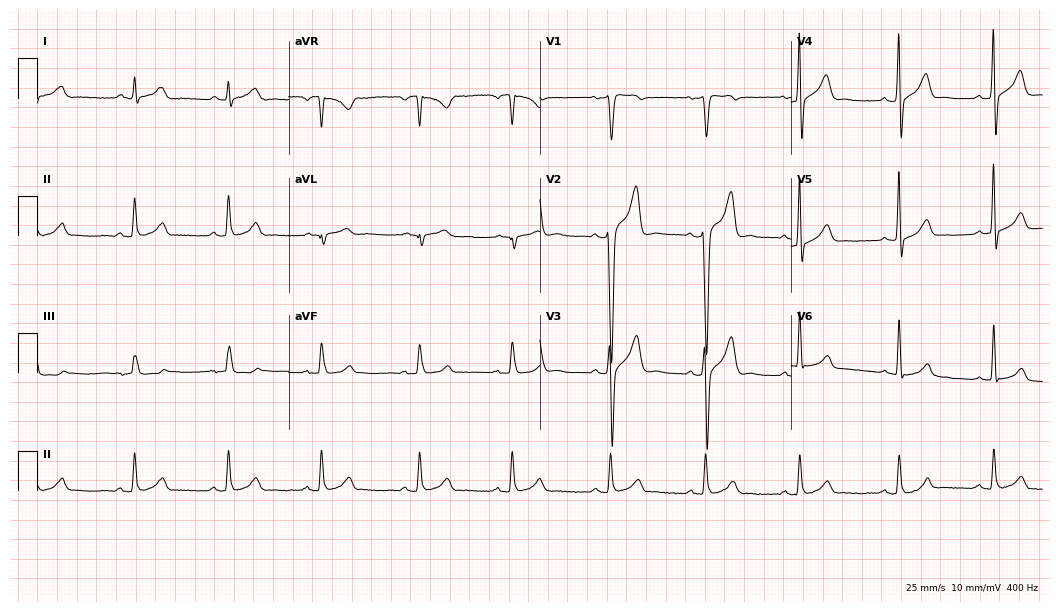
Resting 12-lead electrocardiogram. Patient: a male, 55 years old. Read as a normal ECG.